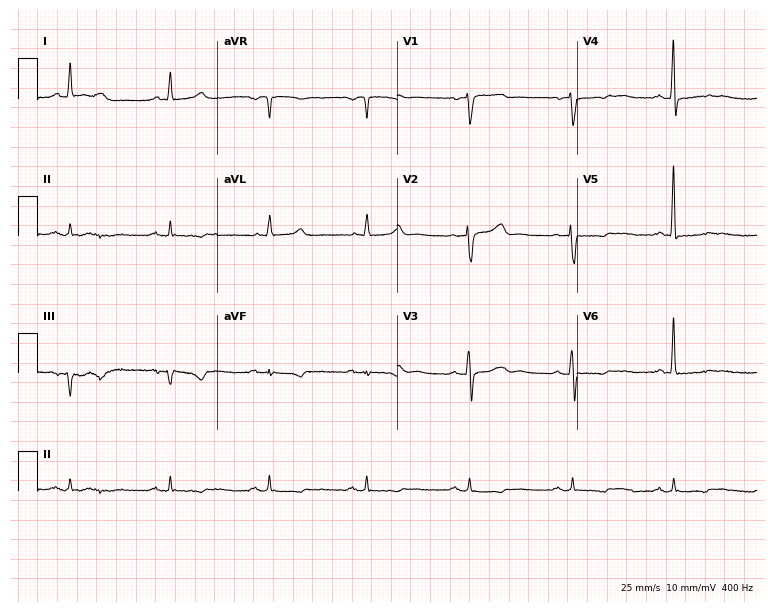
ECG (7.3-second recording at 400 Hz) — a 63-year-old male patient. Screened for six findings — first-degree AV block, right bundle branch block (RBBB), left bundle branch block (LBBB), sinus bradycardia, atrial fibrillation (AF), sinus tachycardia — none is recorded. Findings outside these six are not listed.